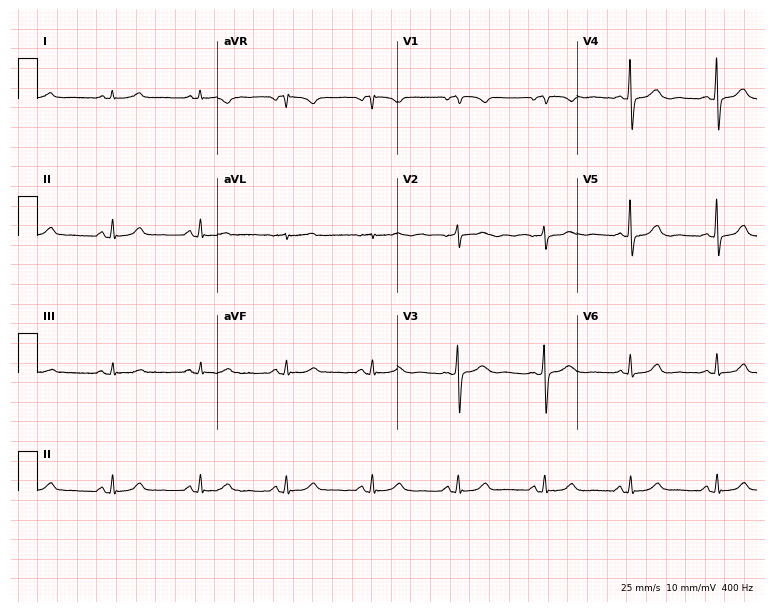
Resting 12-lead electrocardiogram (7.3-second recording at 400 Hz). Patient: a female, 56 years old. Read as a normal ECG.